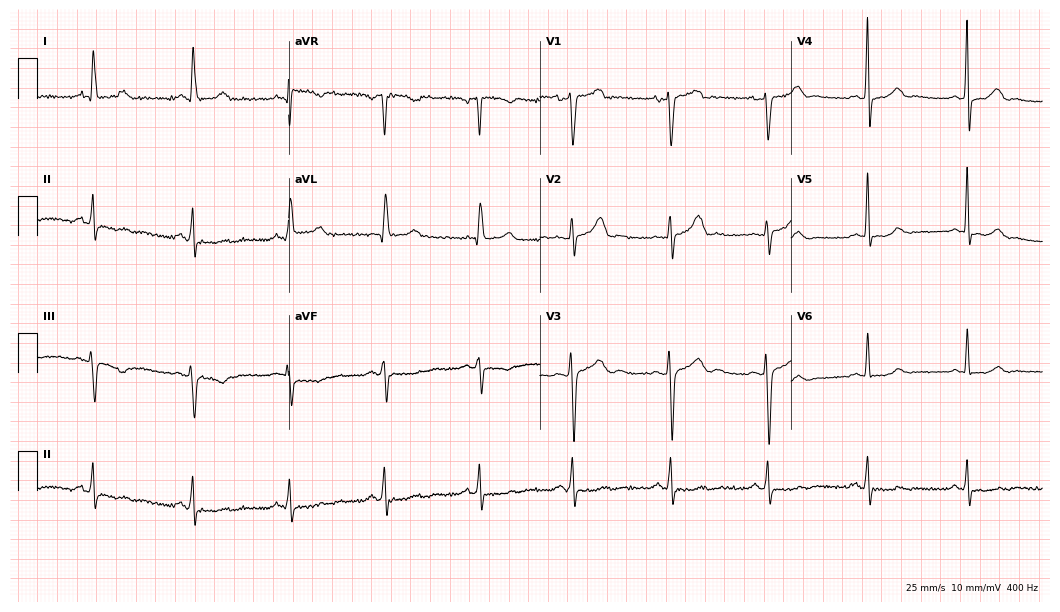
Resting 12-lead electrocardiogram. Patient: a 49-year-old male. None of these six findings is recorded: first-degree AV block, right bundle branch block, left bundle branch block, sinus bradycardia, atrial fibrillation, sinus tachycardia. Other findings, if any, are not listed.